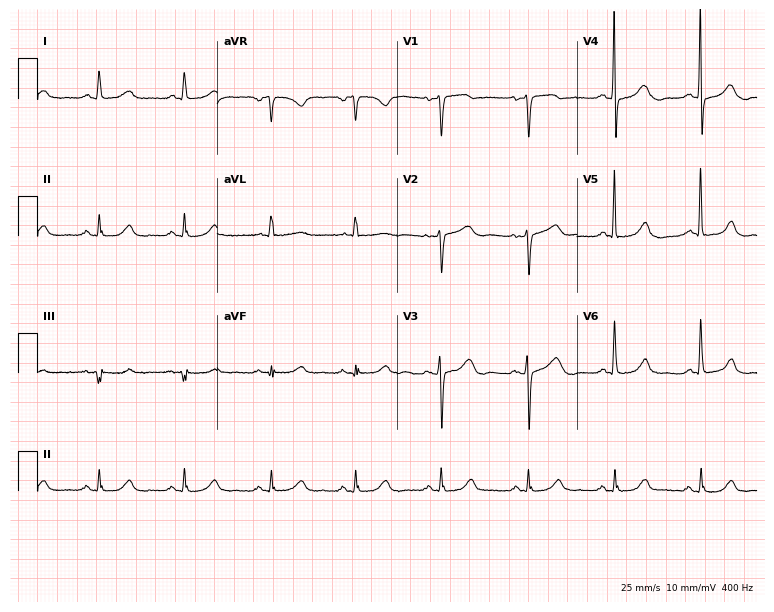
Standard 12-lead ECG recorded from a woman, 77 years old. None of these six findings is recorded: first-degree AV block, right bundle branch block (RBBB), left bundle branch block (LBBB), sinus bradycardia, atrial fibrillation (AF), sinus tachycardia. Only these six findings were labelled.